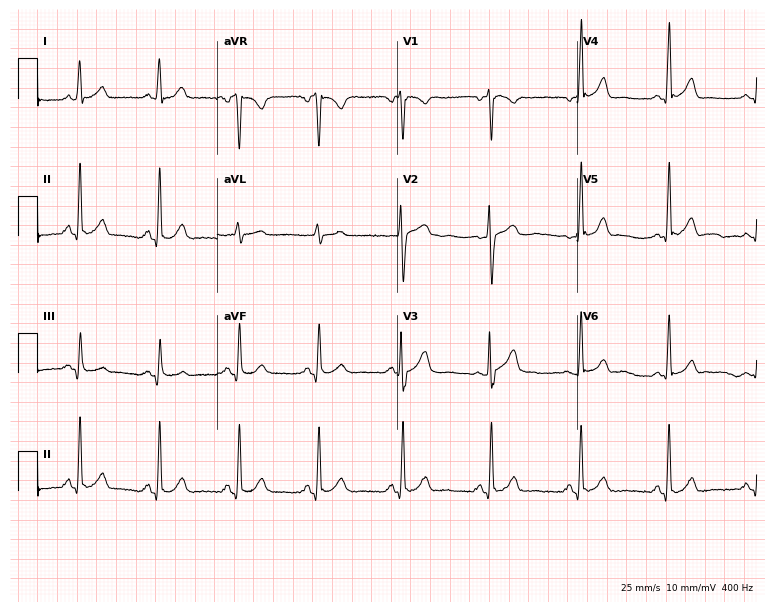
Standard 12-lead ECG recorded from a 32-year-old female. Read as a normal ECG.